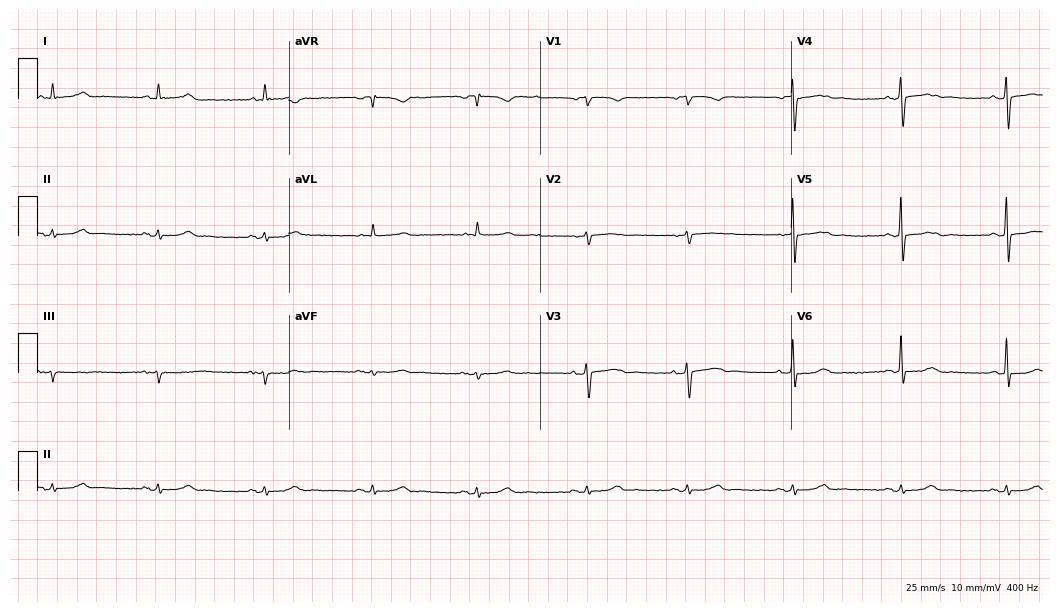
Electrocardiogram (10.2-second recording at 400 Hz), a 79-year-old male patient. Of the six screened findings (first-degree AV block, right bundle branch block, left bundle branch block, sinus bradycardia, atrial fibrillation, sinus tachycardia), none is recorded. Only these six findings were labelled.